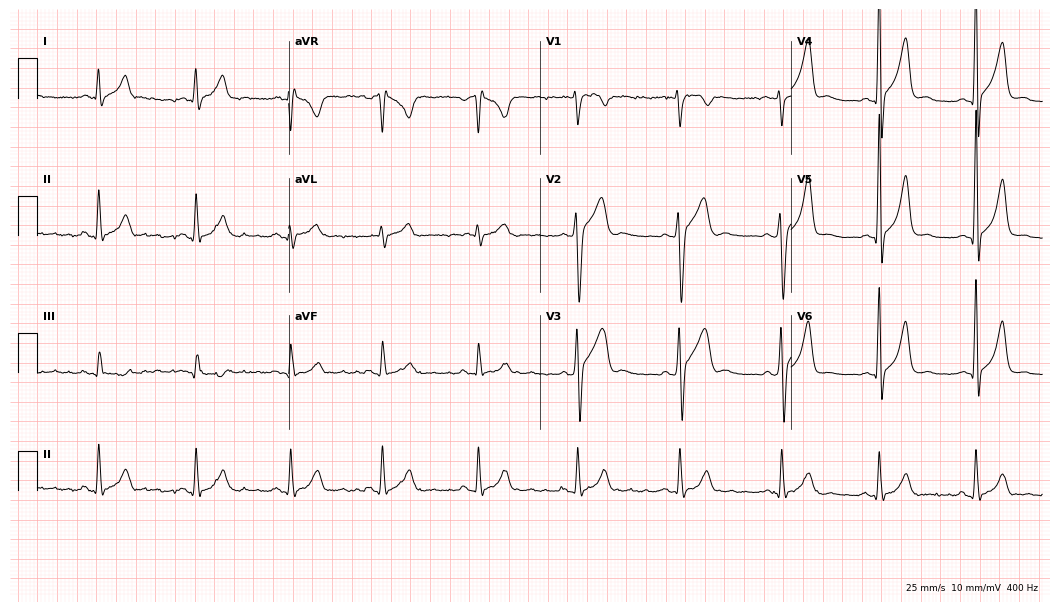
Resting 12-lead electrocardiogram. Patient: a man, 31 years old. None of these six findings is recorded: first-degree AV block, right bundle branch block, left bundle branch block, sinus bradycardia, atrial fibrillation, sinus tachycardia.